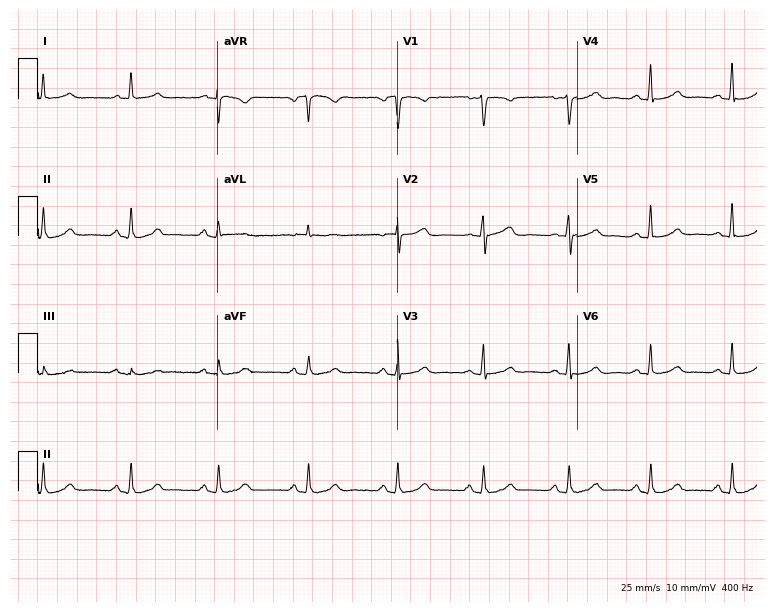
Resting 12-lead electrocardiogram. Patient: a 48-year-old woman. Read as a normal ECG.